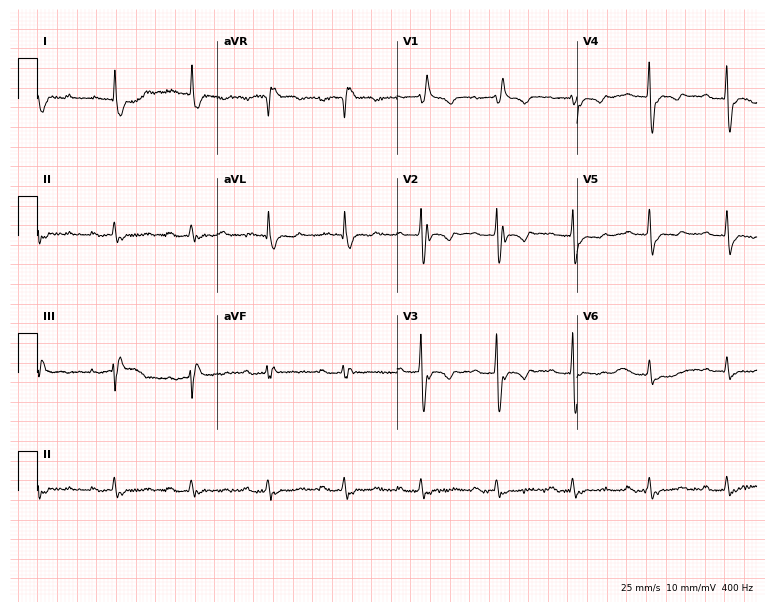
Resting 12-lead electrocardiogram (7.3-second recording at 400 Hz). Patient: a female, 64 years old. The tracing shows first-degree AV block, right bundle branch block.